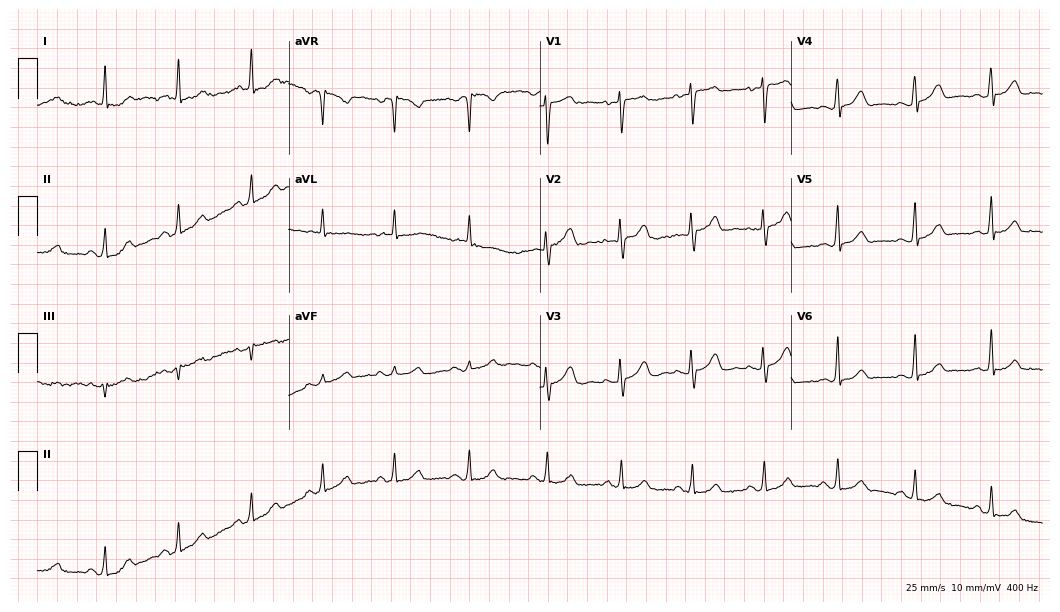
12-lead ECG from a woman, 45 years old (10.2-second recording at 400 Hz). Recorded interpretation: within normal limits.